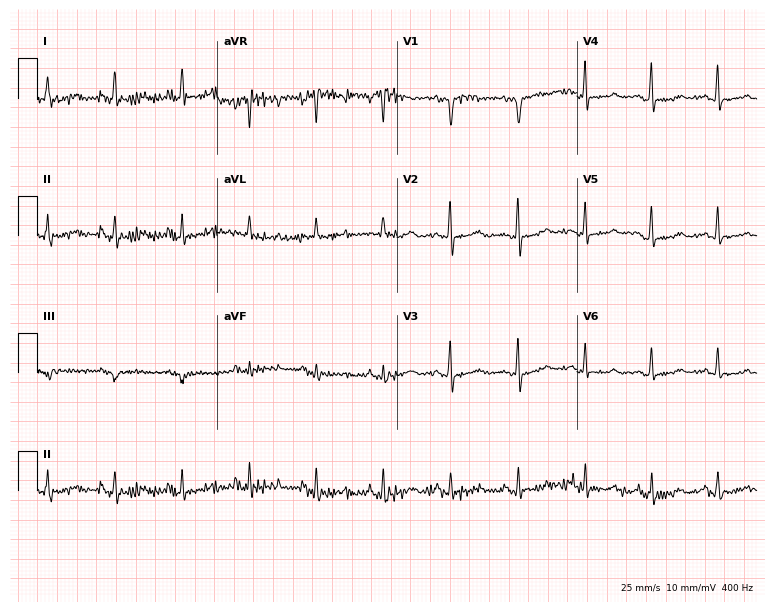
Resting 12-lead electrocardiogram. Patient: a woman, 61 years old. None of these six findings is recorded: first-degree AV block, right bundle branch block, left bundle branch block, sinus bradycardia, atrial fibrillation, sinus tachycardia. Only these six findings were labelled.